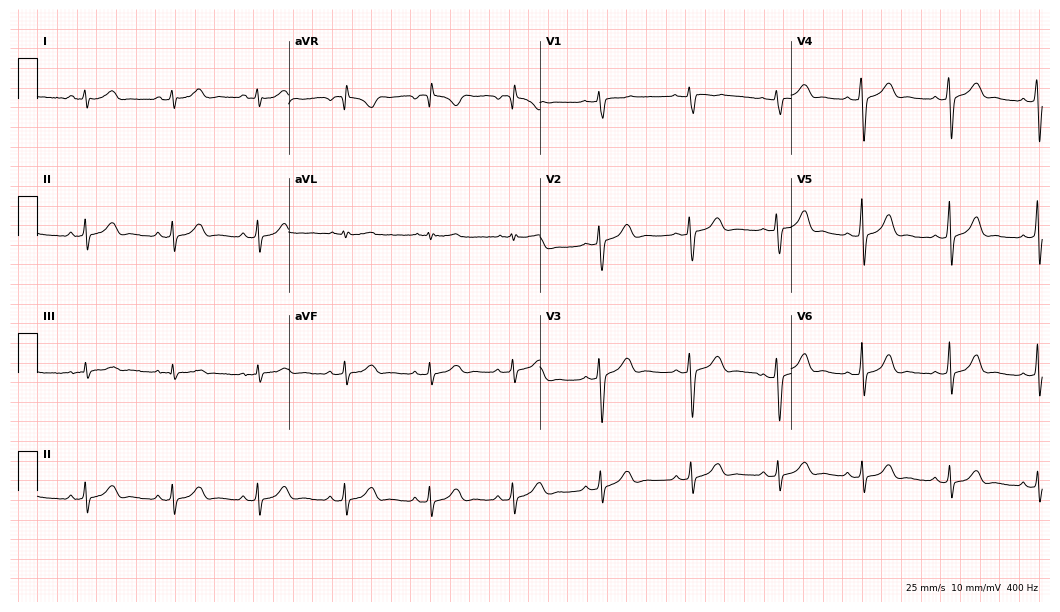
Standard 12-lead ECG recorded from a 26-year-old woman (10.2-second recording at 400 Hz). None of these six findings is recorded: first-degree AV block, right bundle branch block, left bundle branch block, sinus bradycardia, atrial fibrillation, sinus tachycardia.